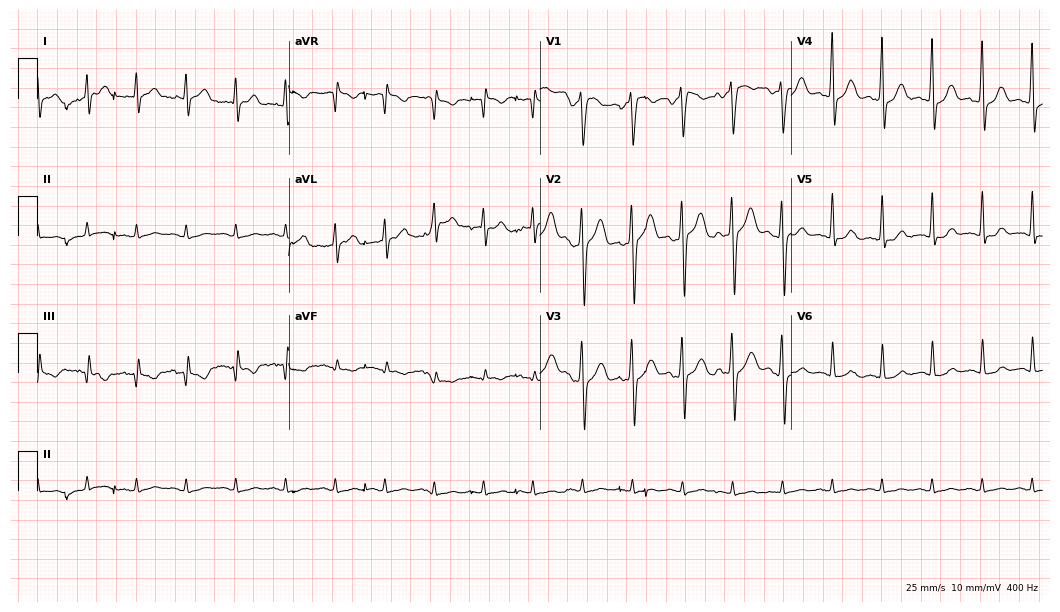
Electrocardiogram, a male, 42 years old. Interpretation includes sinus tachycardia (a sinus rate of 100 beats per minute or more).